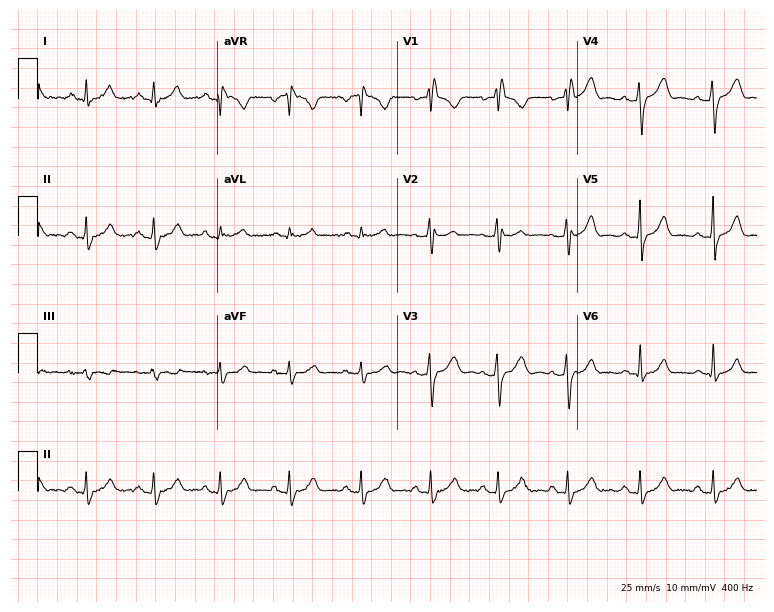
12-lead ECG from a 28-year-old female patient (7.3-second recording at 400 Hz). No first-degree AV block, right bundle branch block (RBBB), left bundle branch block (LBBB), sinus bradycardia, atrial fibrillation (AF) or sinus tachycardia recorded for this tracing.